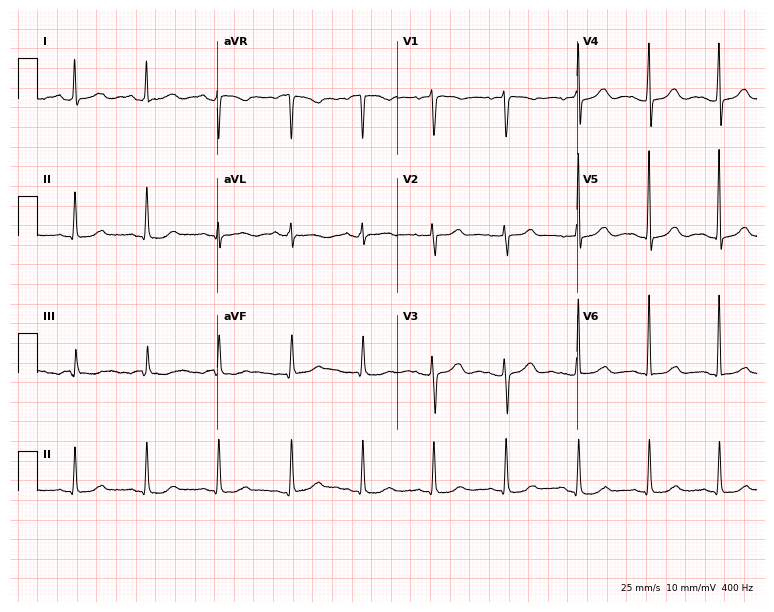
Electrocardiogram (7.3-second recording at 400 Hz), a 75-year-old female patient. Of the six screened findings (first-degree AV block, right bundle branch block, left bundle branch block, sinus bradycardia, atrial fibrillation, sinus tachycardia), none is recorded. Only these six findings were labelled.